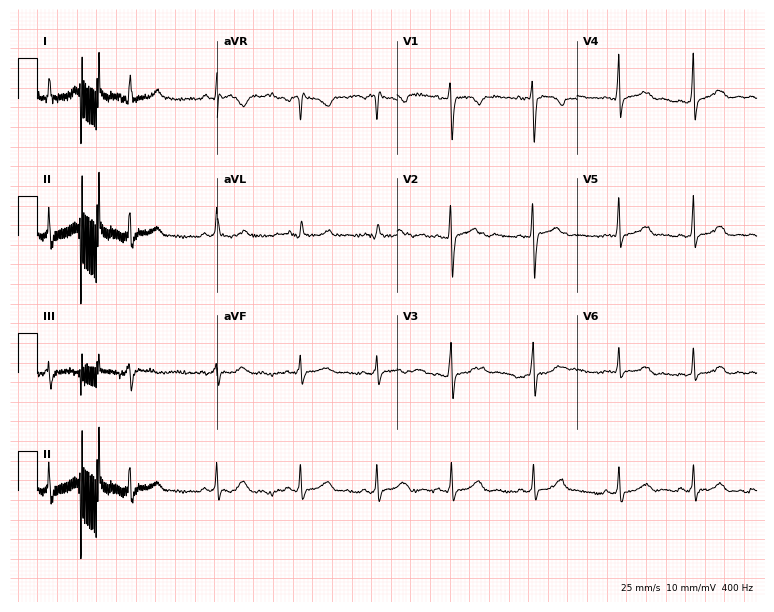
Resting 12-lead electrocardiogram (7.3-second recording at 400 Hz). Patient: a 20-year-old woman. None of these six findings is recorded: first-degree AV block, right bundle branch block, left bundle branch block, sinus bradycardia, atrial fibrillation, sinus tachycardia.